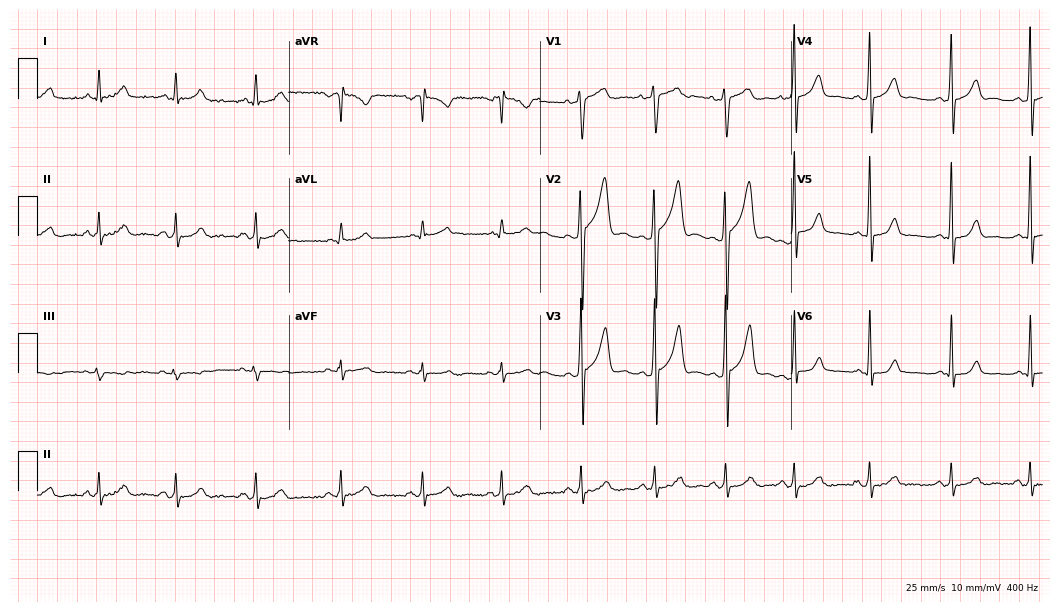
12-lead ECG from a 33-year-old male patient. Recorded interpretation: within normal limits.